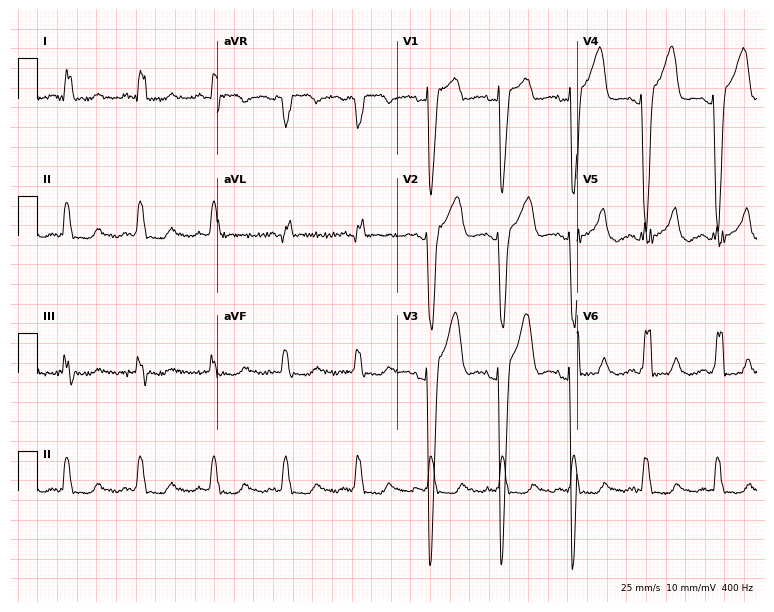
Standard 12-lead ECG recorded from a female, 68 years old (7.3-second recording at 400 Hz). The tracing shows left bundle branch block (LBBB).